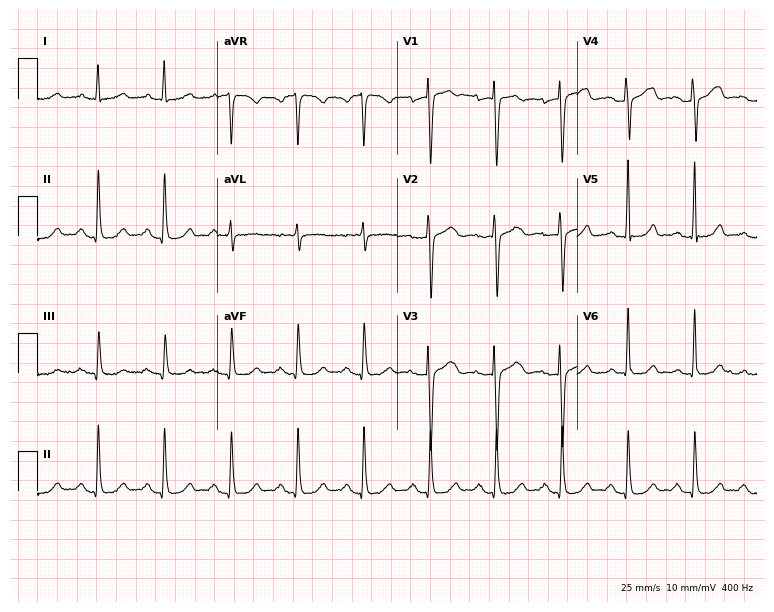
Resting 12-lead electrocardiogram. Patient: a 43-year-old female. None of these six findings is recorded: first-degree AV block, right bundle branch block, left bundle branch block, sinus bradycardia, atrial fibrillation, sinus tachycardia. Only these six findings were labelled.